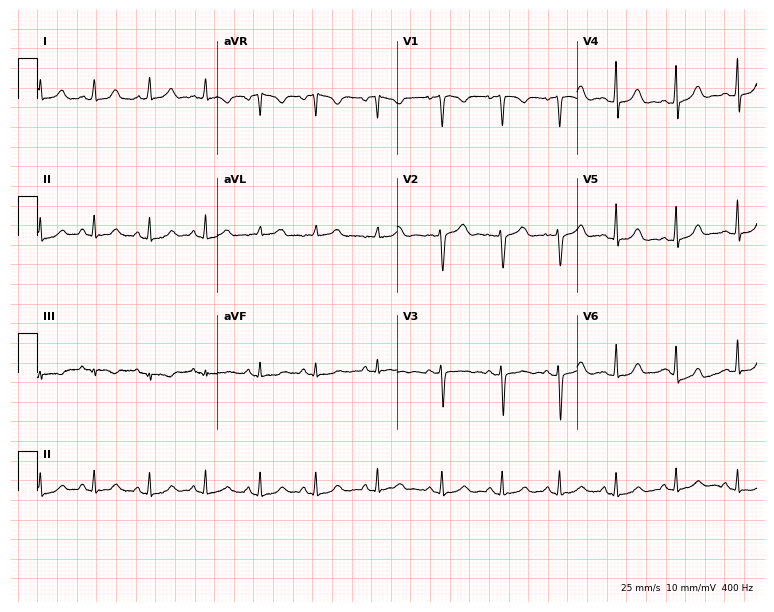
Standard 12-lead ECG recorded from a 22-year-old female patient. The tracing shows sinus tachycardia (a sinus rate of 100 beats per minute or more).